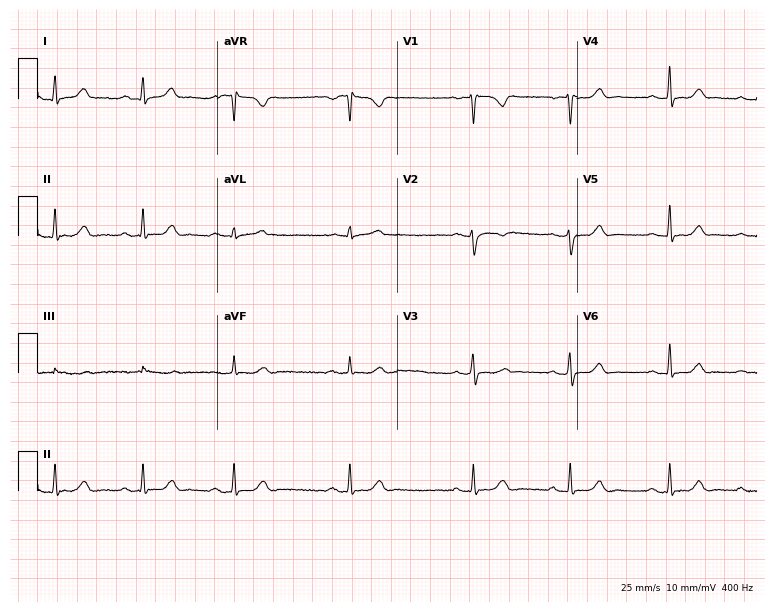
12-lead ECG from a female patient, 22 years old. Labelled as a normal ECG.